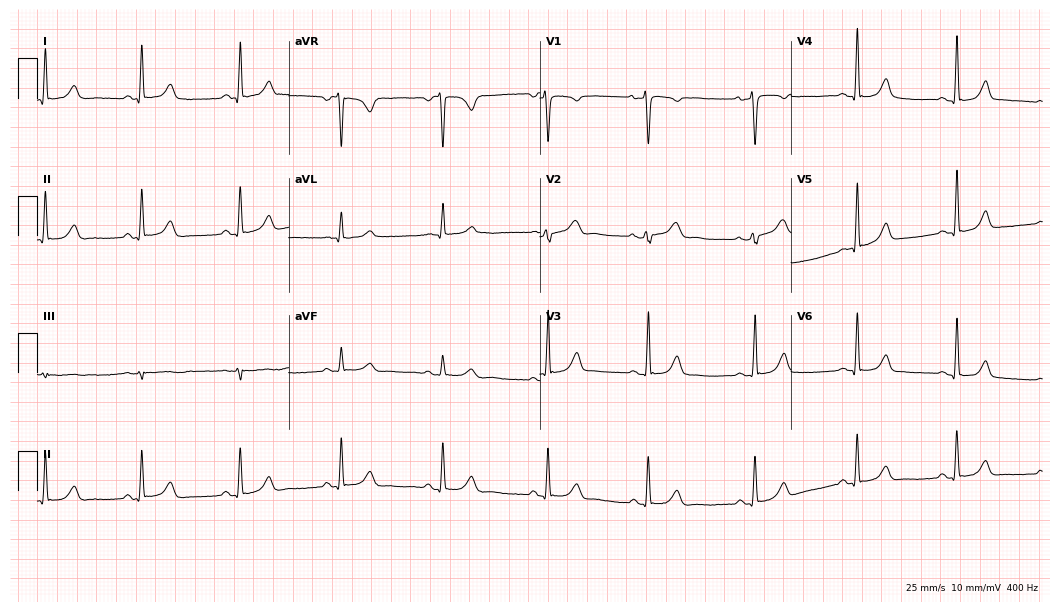
12-lead ECG from a 43-year-old woman (10.2-second recording at 400 Hz). Recorded interpretation: within normal limits.